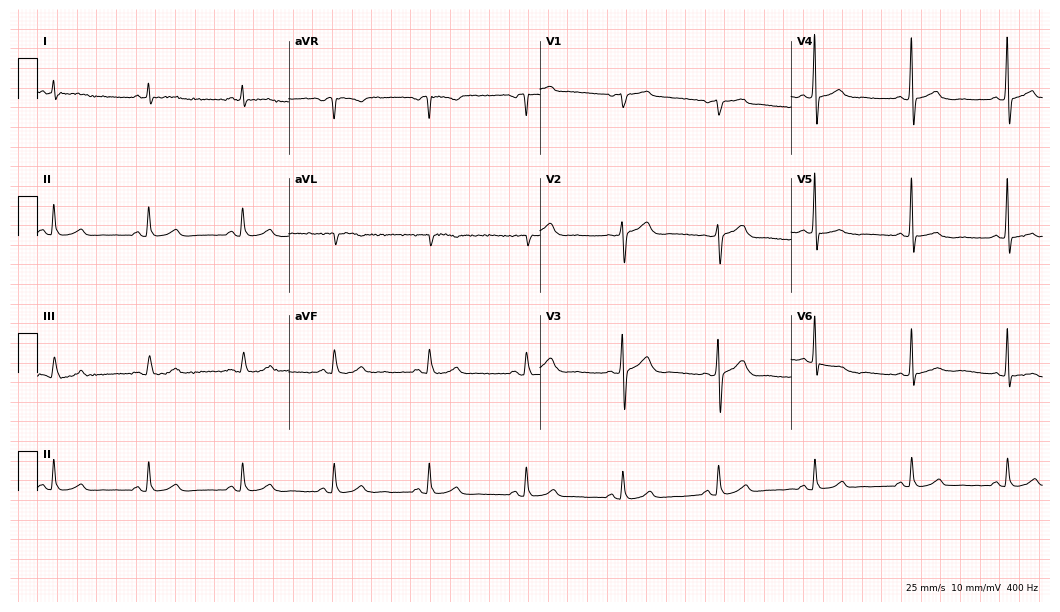
12-lead ECG (10.2-second recording at 400 Hz) from a 57-year-old male. Screened for six findings — first-degree AV block, right bundle branch block (RBBB), left bundle branch block (LBBB), sinus bradycardia, atrial fibrillation (AF), sinus tachycardia — none is recorded. Only these six findings were labelled.